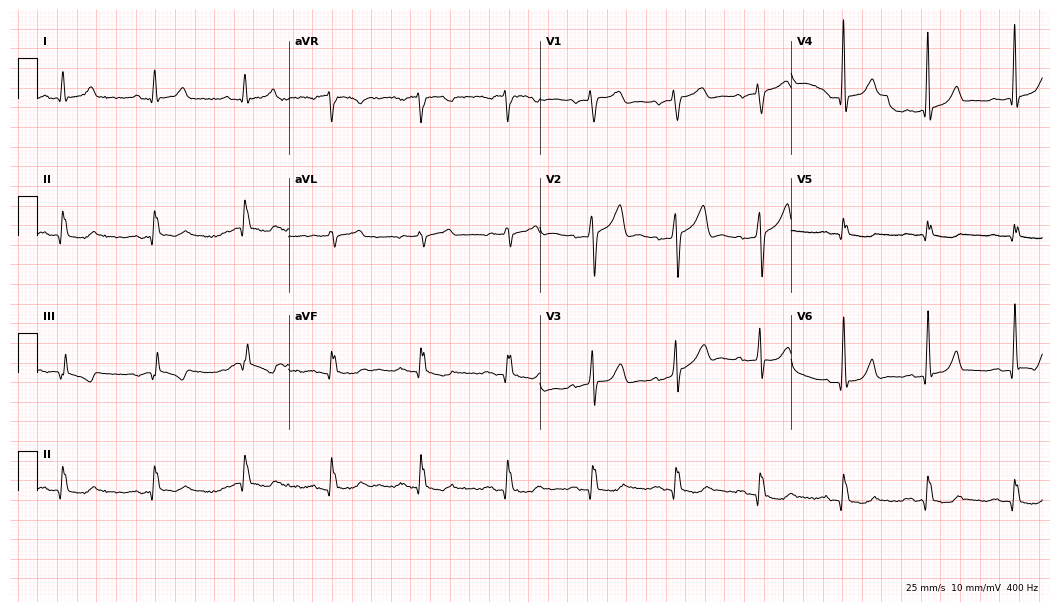
12-lead ECG from a 59-year-old man. Labelled as a normal ECG.